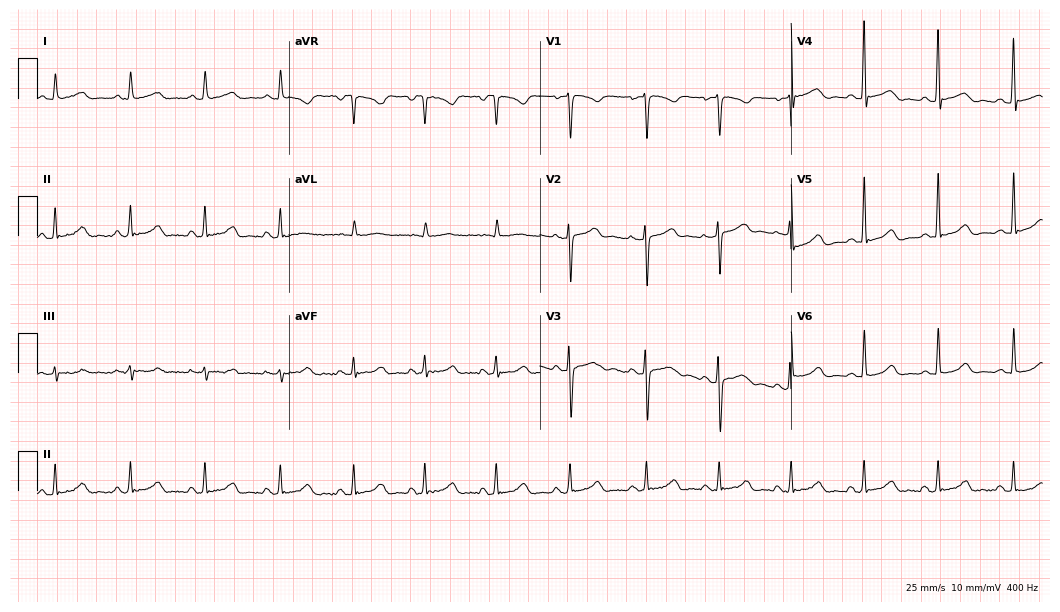
Standard 12-lead ECG recorded from a 40-year-old female patient. Read as a normal ECG.